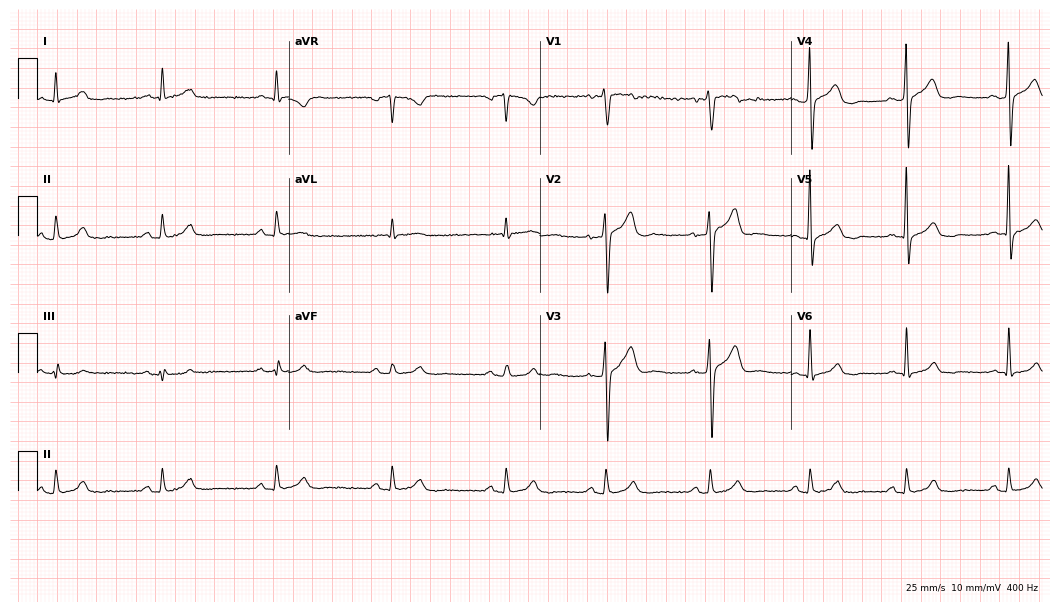
Resting 12-lead electrocardiogram. Patient: a 49-year-old male. None of these six findings is recorded: first-degree AV block, right bundle branch block (RBBB), left bundle branch block (LBBB), sinus bradycardia, atrial fibrillation (AF), sinus tachycardia.